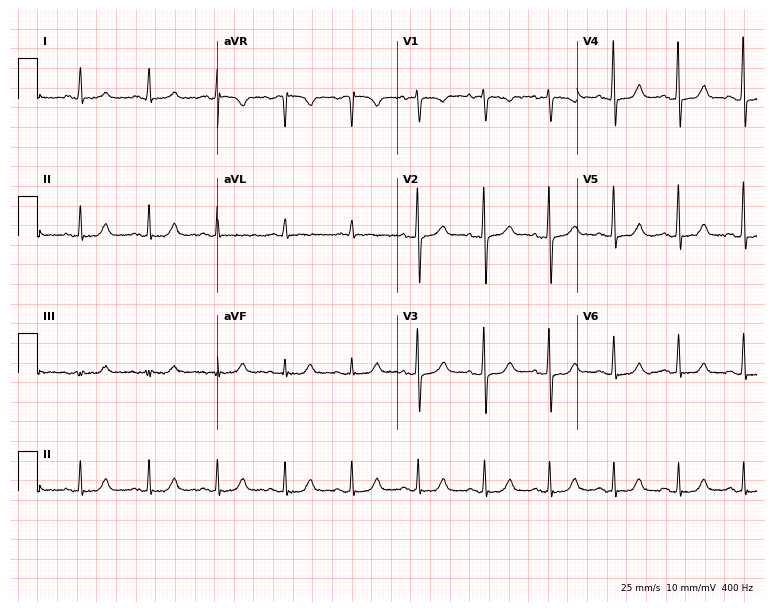
12-lead ECG from a 57-year-old woman. Labelled as a normal ECG.